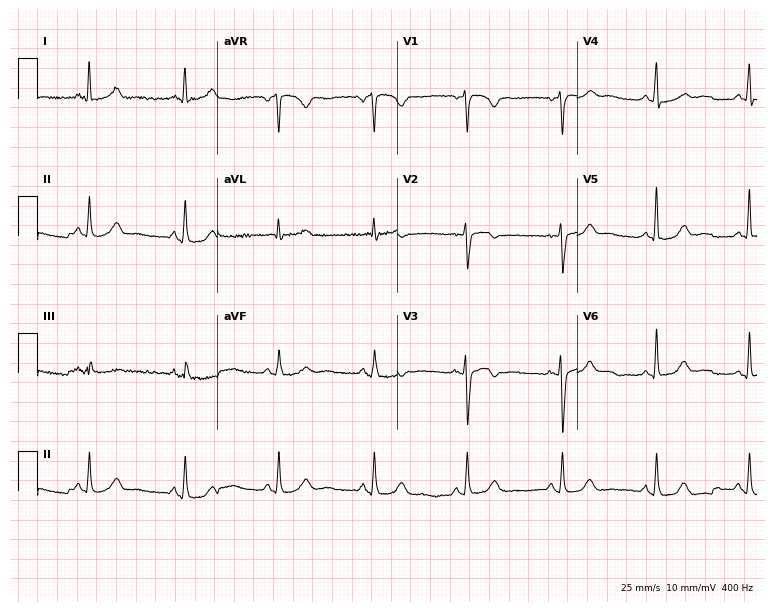
Electrocardiogram, a female patient, 56 years old. Overall reading on record: normal ECG.